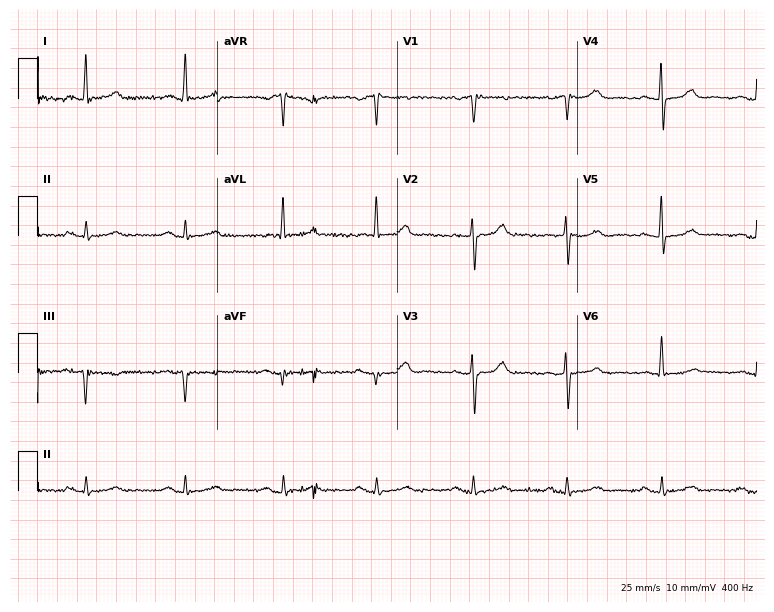
Resting 12-lead electrocardiogram (7.3-second recording at 400 Hz). Patient: a woman, 57 years old. None of these six findings is recorded: first-degree AV block, right bundle branch block, left bundle branch block, sinus bradycardia, atrial fibrillation, sinus tachycardia.